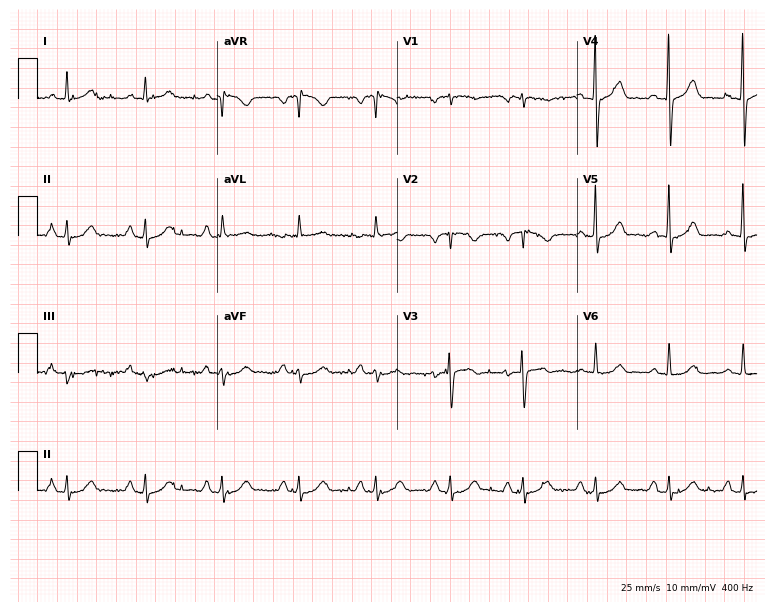
ECG — a 67-year-old male patient. Labelled as a normal ECG.